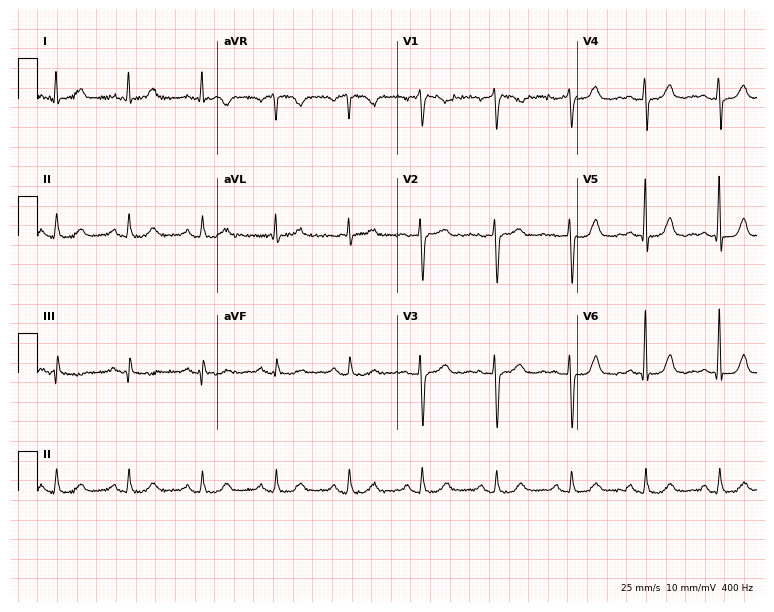
12-lead ECG from a 66-year-old woman (7.3-second recording at 400 Hz). Recorded interpretation: within normal limits.